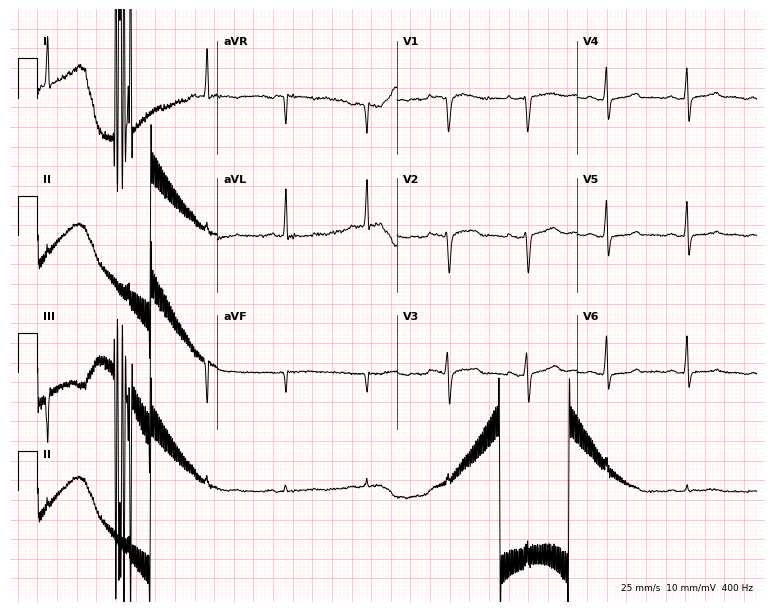
Electrocardiogram (7.3-second recording at 400 Hz), a 51-year-old female. Of the six screened findings (first-degree AV block, right bundle branch block, left bundle branch block, sinus bradycardia, atrial fibrillation, sinus tachycardia), none is recorded. Findings outside these six are not listed.